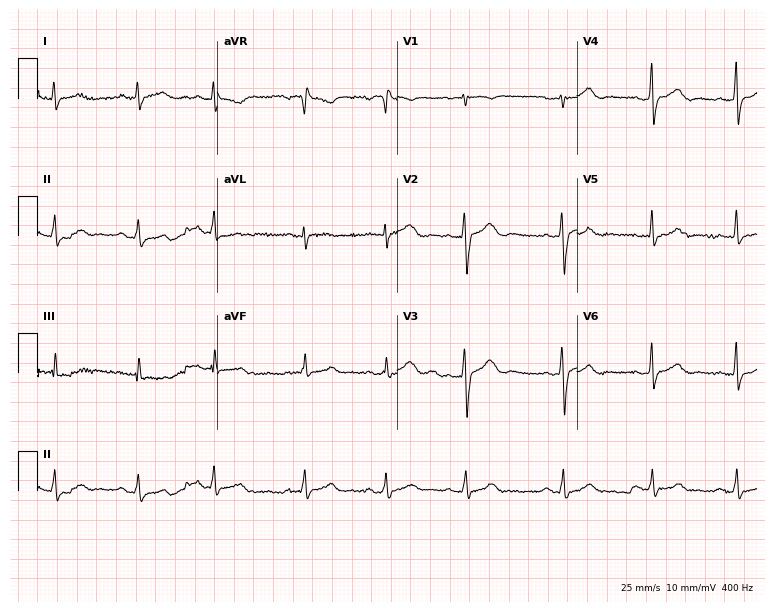
ECG (7.3-second recording at 400 Hz) — a 25-year-old female patient. Labelled as a normal ECG.